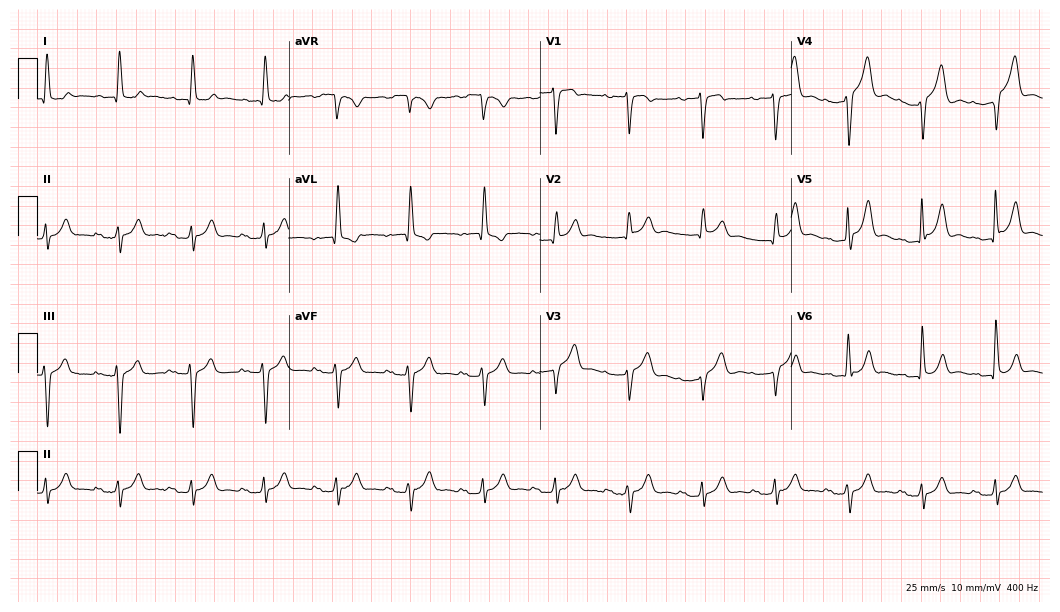
12-lead ECG from an 80-year-old woman. Shows first-degree AV block.